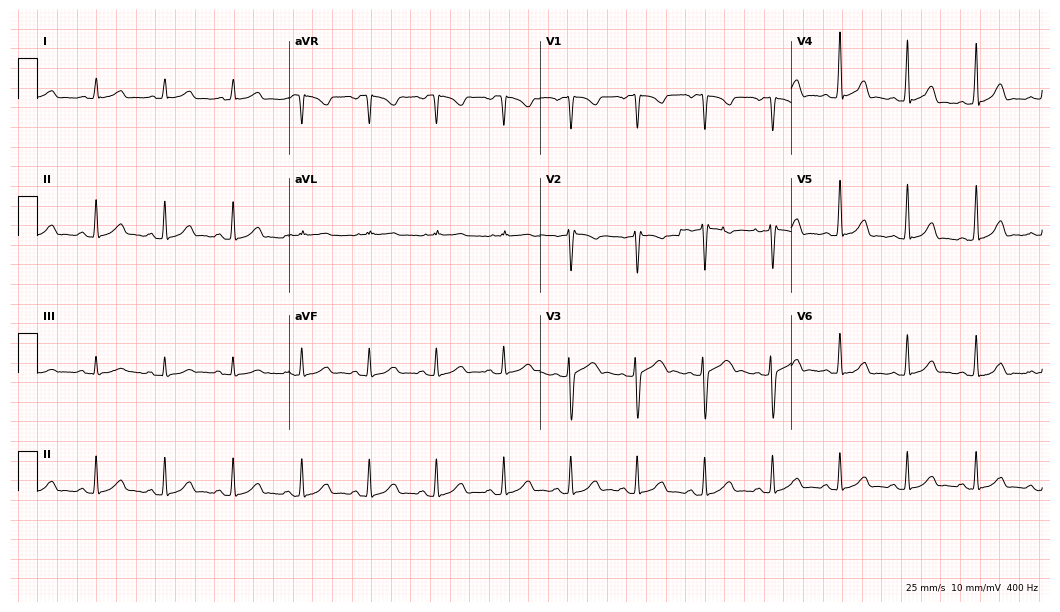
ECG — a woman, 39 years old. Labelled as a normal ECG.